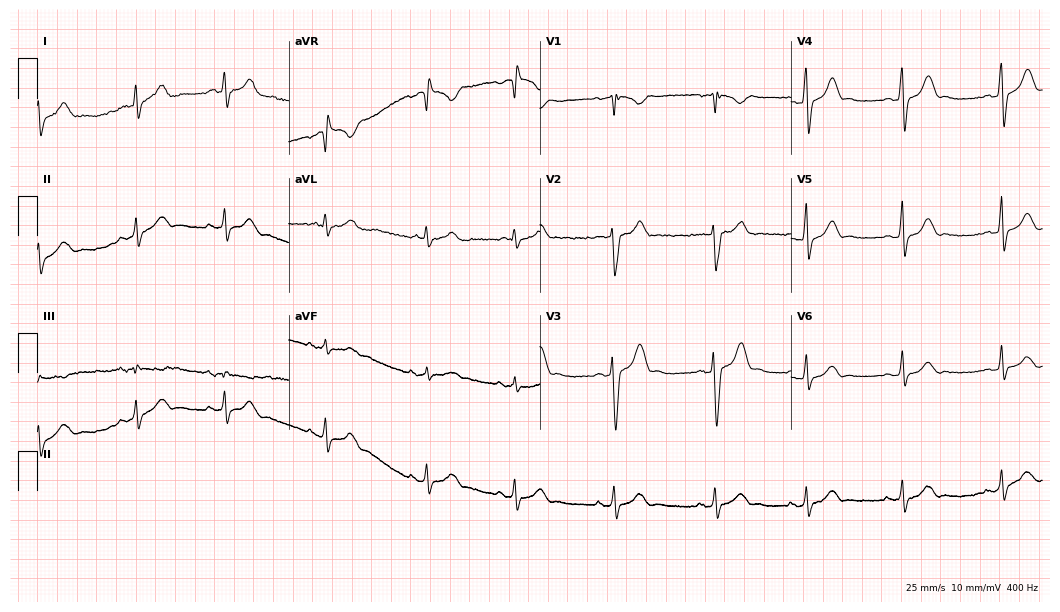
12-lead ECG from a man, 25 years old (10.2-second recording at 400 Hz). Recorded interpretation: within normal limits.